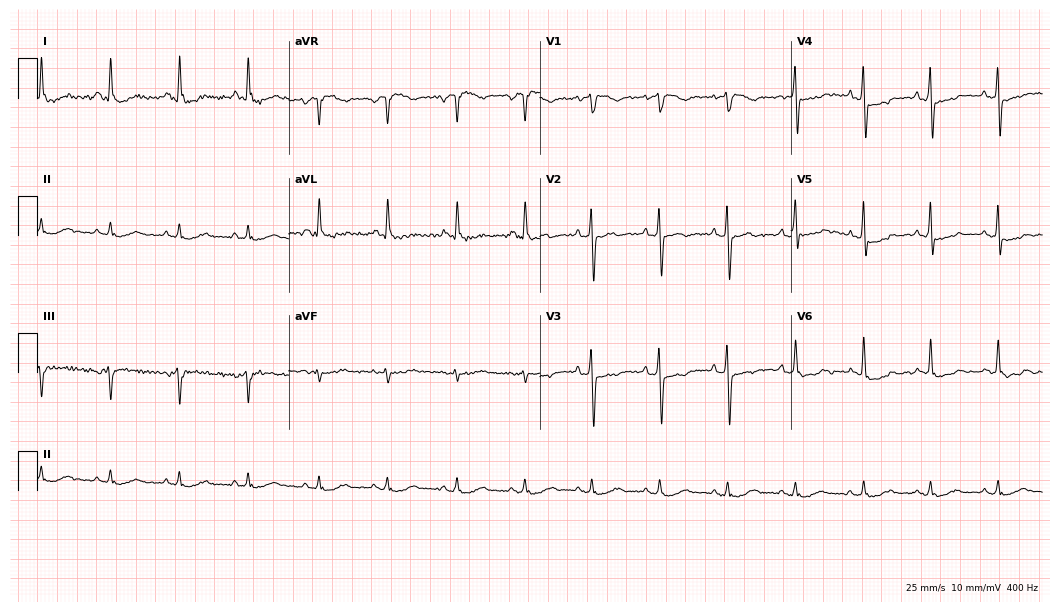
ECG (10.2-second recording at 400 Hz) — a male patient, 78 years old. Screened for six findings — first-degree AV block, right bundle branch block, left bundle branch block, sinus bradycardia, atrial fibrillation, sinus tachycardia — none is recorded.